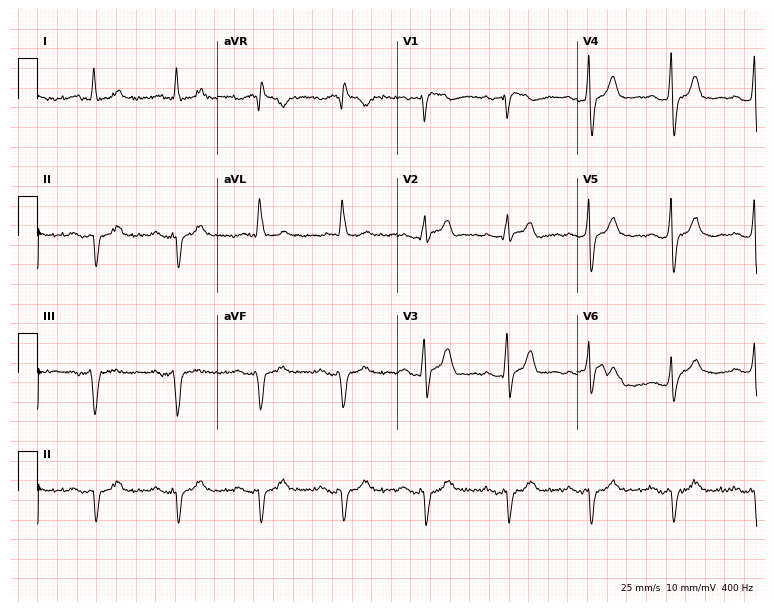
12-lead ECG from a man, 79 years old. Shows left bundle branch block (LBBB).